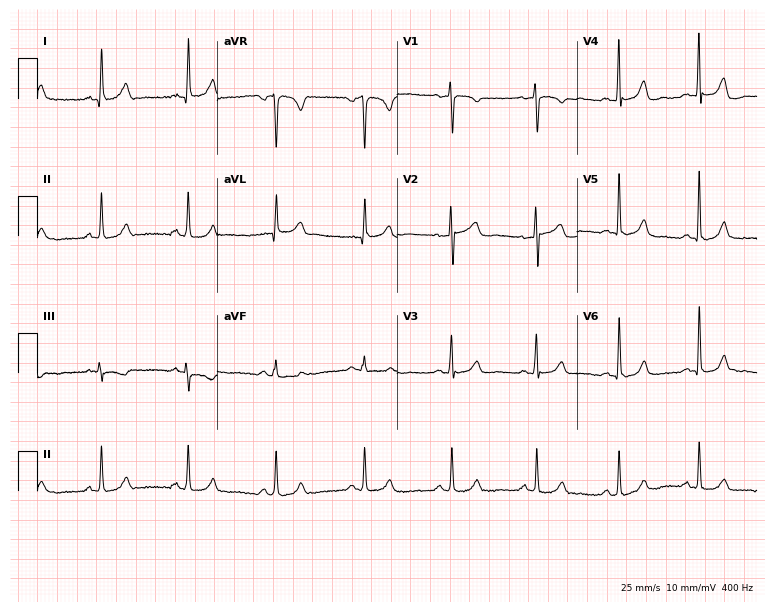
ECG — a 35-year-old female patient. Labelled as a normal ECG.